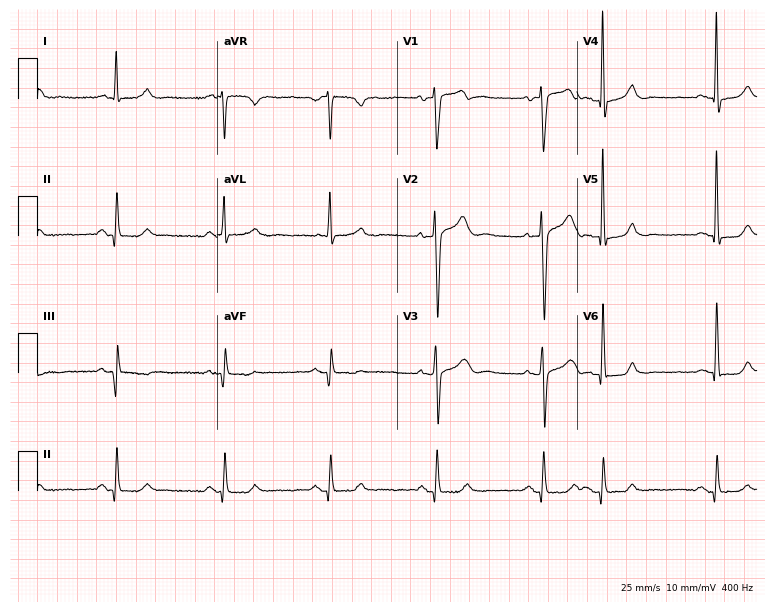
12-lead ECG from a man, 77 years old. No first-degree AV block, right bundle branch block, left bundle branch block, sinus bradycardia, atrial fibrillation or sinus tachycardia recorded for this tracing. Findings outside these six are not listed.